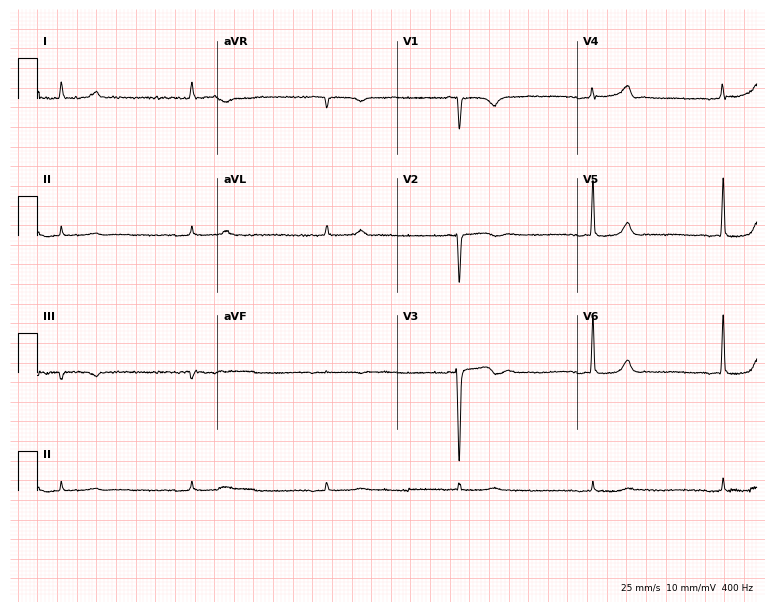
Standard 12-lead ECG recorded from a woman, 76 years old (7.3-second recording at 400 Hz). The tracing shows sinus bradycardia (a sinus rate of 50 beats per minute or less).